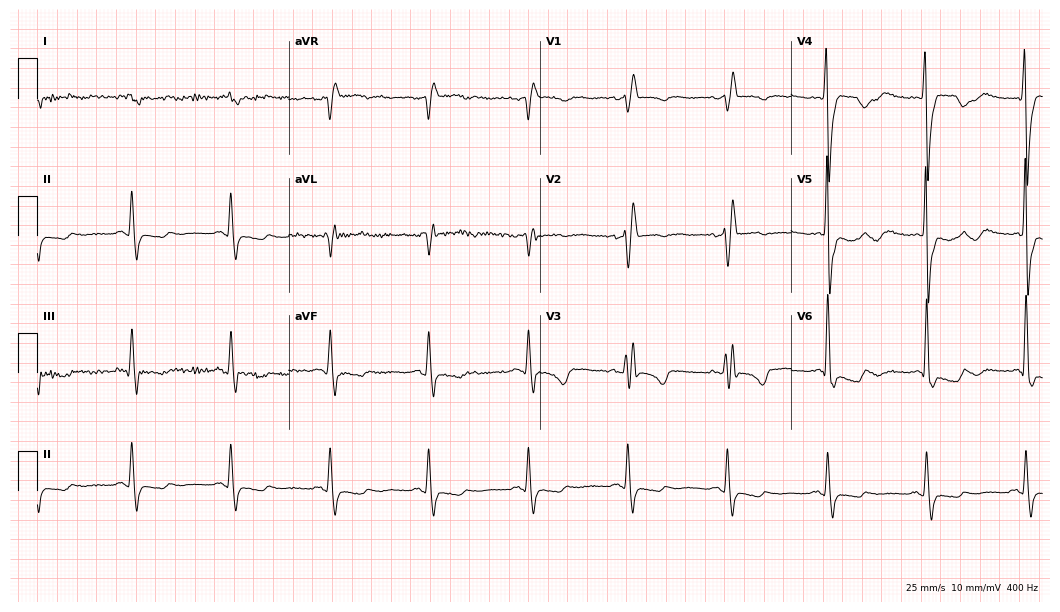
12-lead ECG from a 79-year-old female (10.2-second recording at 400 Hz). Shows right bundle branch block (RBBB).